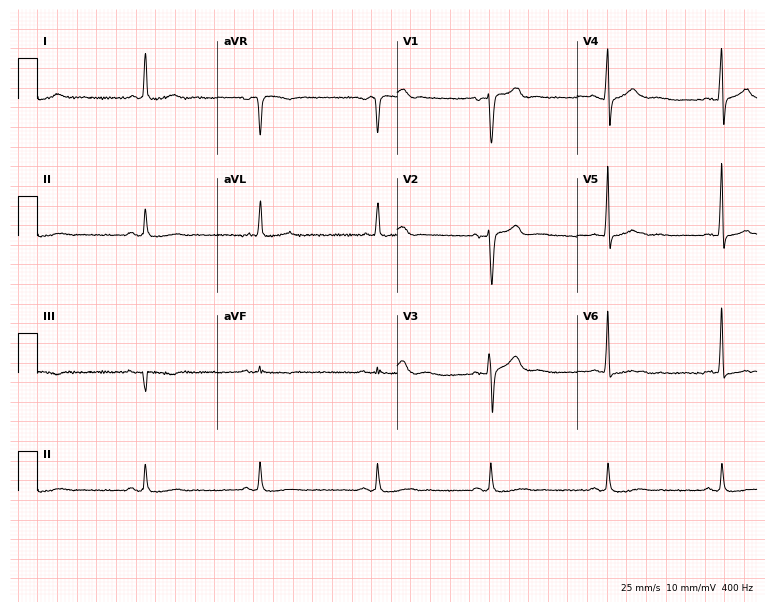
12-lead ECG (7.3-second recording at 400 Hz) from a 59-year-old male patient. Screened for six findings — first-degree AV block, right bundle branch block (RBBB), left bundle branch block (LBBB), sinus bradycardia, atrial fibrillation (AF), sinus tachycardia — none is recorded. Other findings, if any, are not listed.